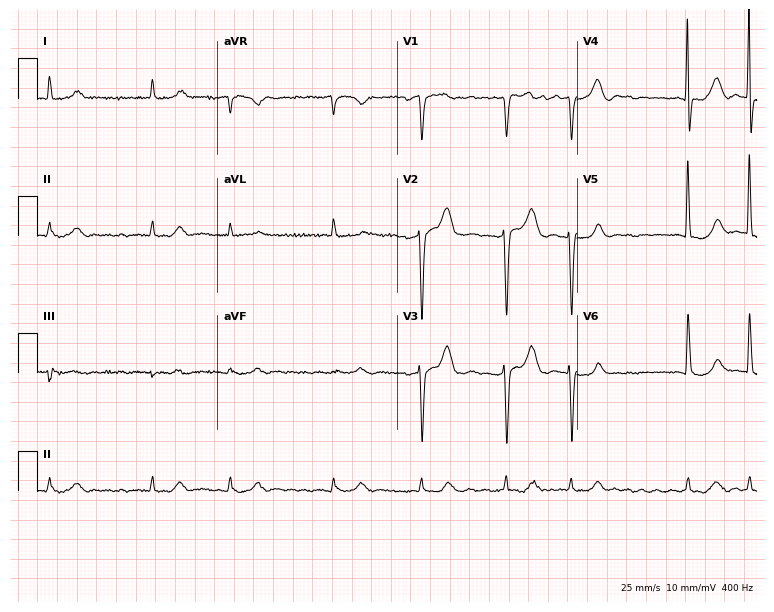
12-lead ECG from a male patient, 81 years old. Shows atrial fibrillation.